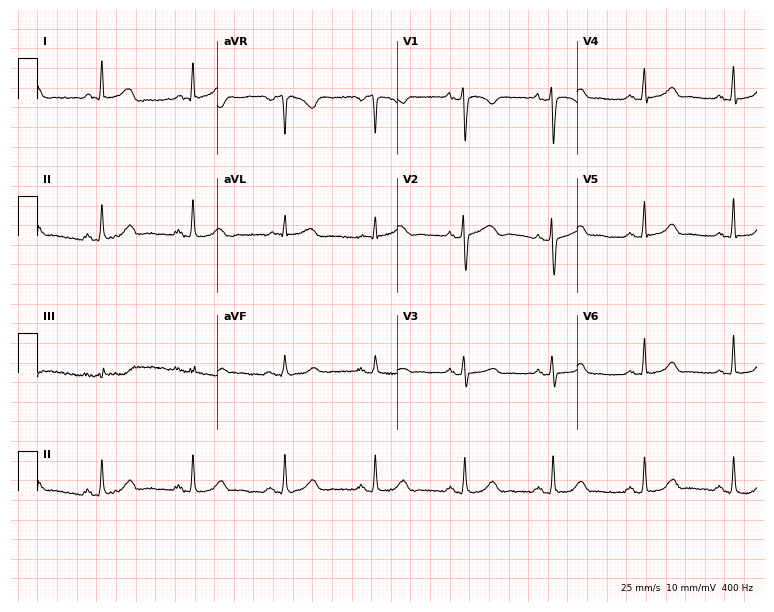
Electrocardiogram, a woman, 71 years old. Overall reading on record: normal ECG.